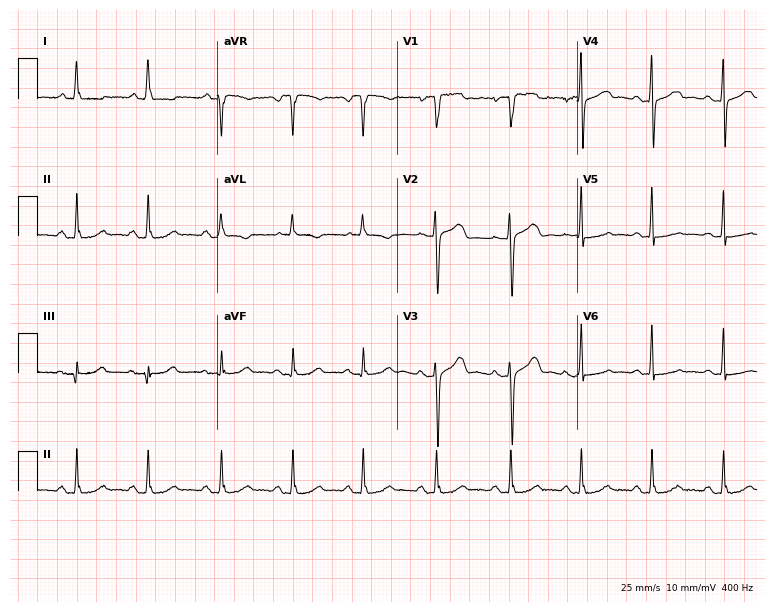
12-lead ECG (7.3-second recording at 400 Hz) from a 56-year-old woman. Screened for six findings — first-degree AV block, right bundle branch block, left bundle branch block, sinus bradycardia, atrial fibrillation, sinus tachycardia — none is recorded. Findings outside these six are not listed.